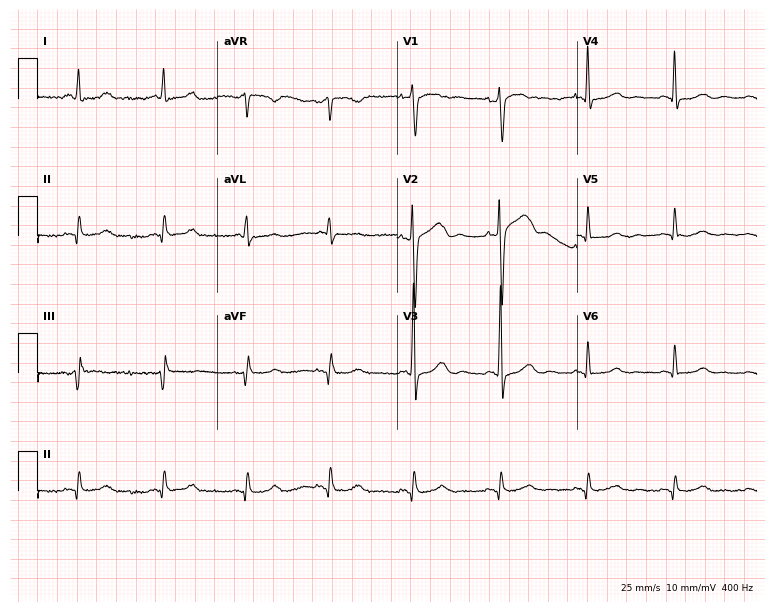
12-lead ECG from a man, 50 years old. Screened for six findings — first-degree AV block, right bundle branch block (RBBB), left bundle branch block (LBBB), sinus bradycardia, atrial fibrillation (AF), sinus tachycardia — none is recorded. Findings outside these six are not listed.